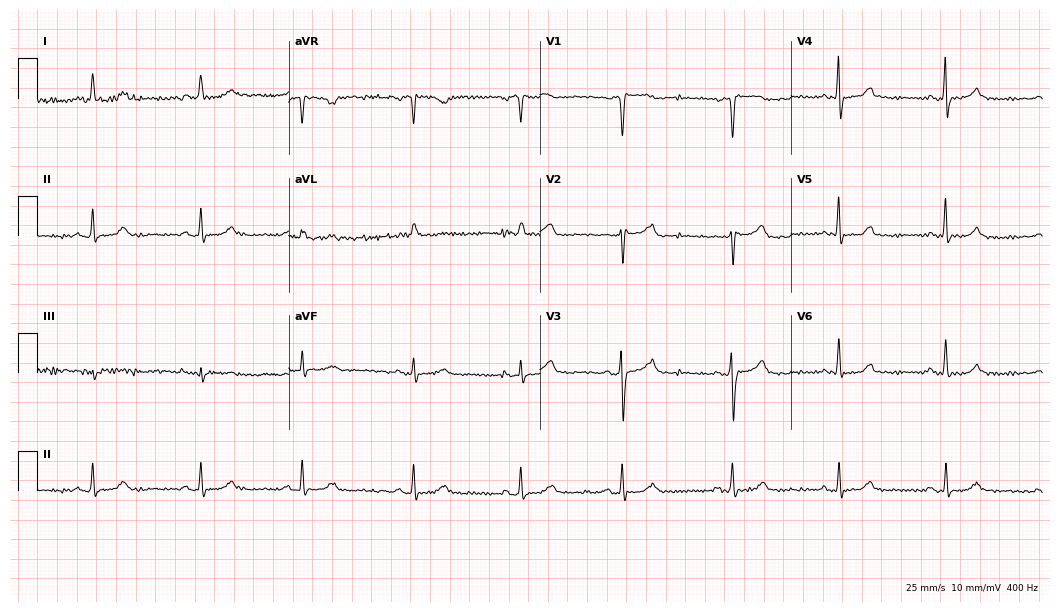
12-lead ECG from a female patient, 65 years old. Recorded interpretation: within normal limits.